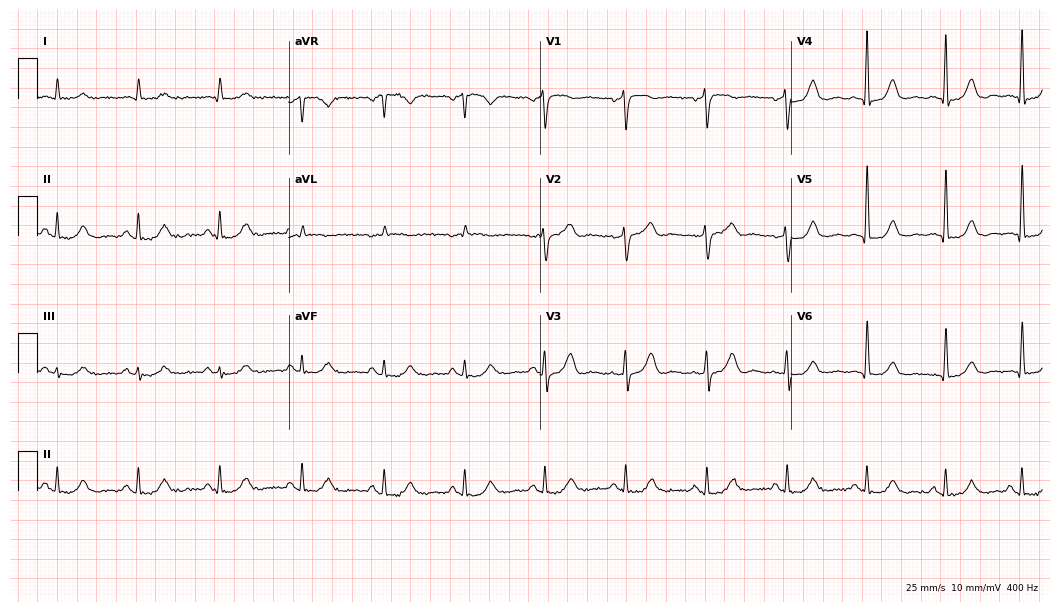
Electrocardiogram (10.2-second recording at 400 Hz), a male, 77 years old. Of the six screened findings (first-degree AV block, right bundle branch block, left bundle branch block, sinus bradycardia, atrial fibrillation, sinus tachycardia), none is recorded.